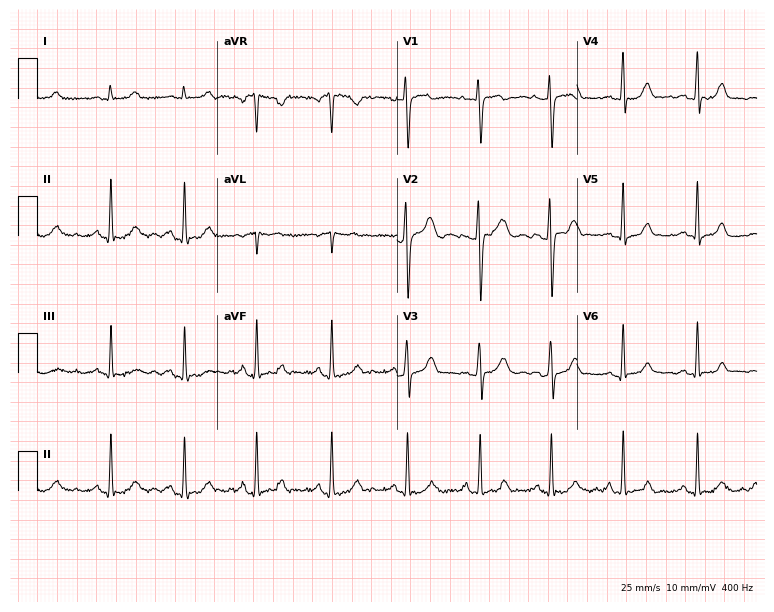
Electrocardiogram, a female, 39 years old. Overall reading on record: normal ECG.